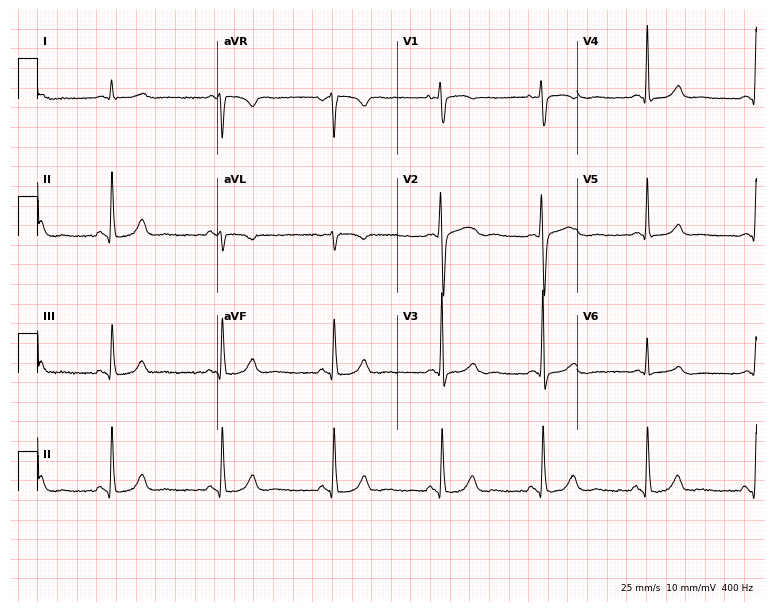
12-lead ECG from a female, 40 years old. Labelled as a normal ECG.